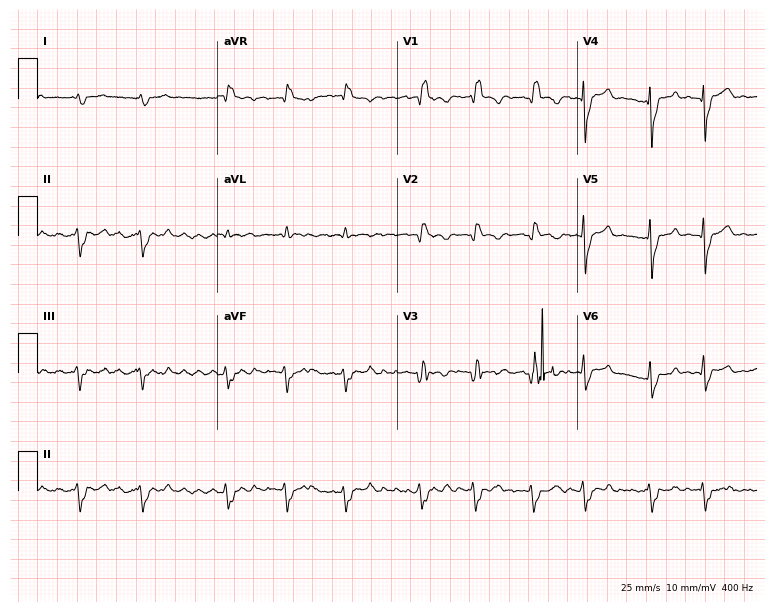
Electrocardiogram, a male patient, 72 years old. Of the six screened findings (first-degree AV block, right bundle branch block (RBBB), left bundle branch block (LBBB), sinus bradycardia, atrial fibrillation (AF), sinus tachycardia), none is recorded.